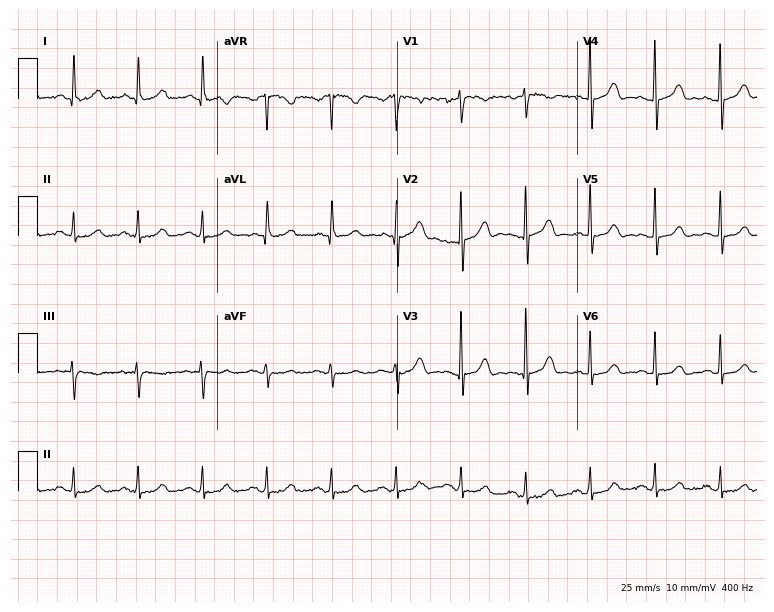
12-lead ECG from a 56-year-old woman. No first-degree AV block, right bundle branch block, left bundle branch block, sinus bradycardia, atrial fibrillation or sinus tachycardia recorded for this tracing.